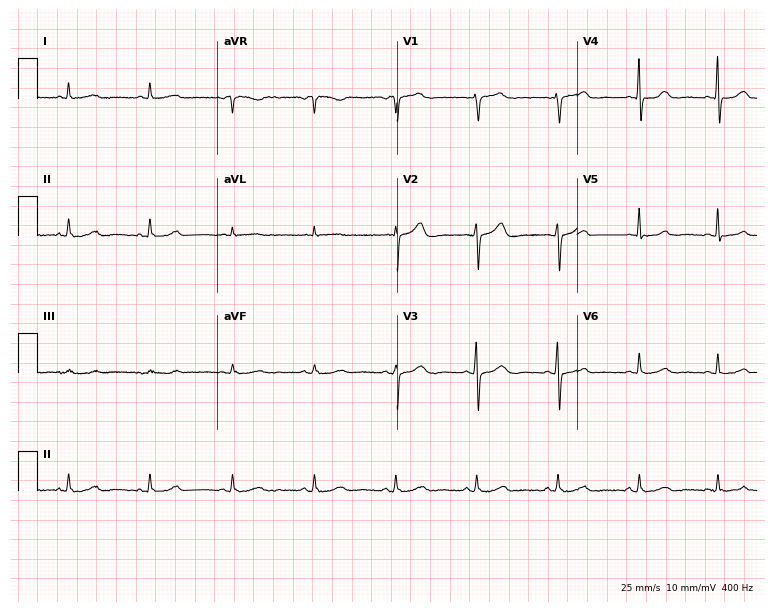
Electrocardiogram, a female patient, 64 years old. Of the six screened findings (first-degree AV block, right bundle branch block, left bundle branch block, sinus bradycardia, atrial fibrillation, sinus tachycardia), none is recorded.